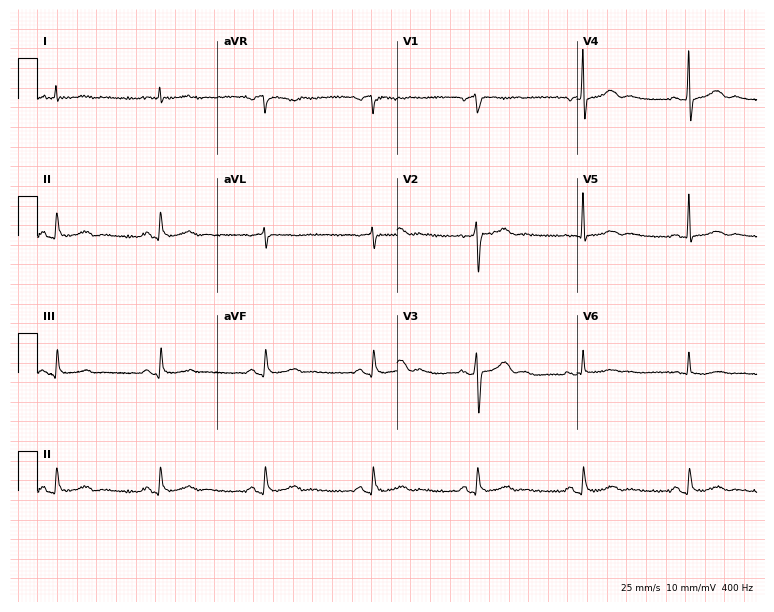
Resting 12-lead electrocardiogram. Patient: a 46-year-old male. Read as a normal ECG.